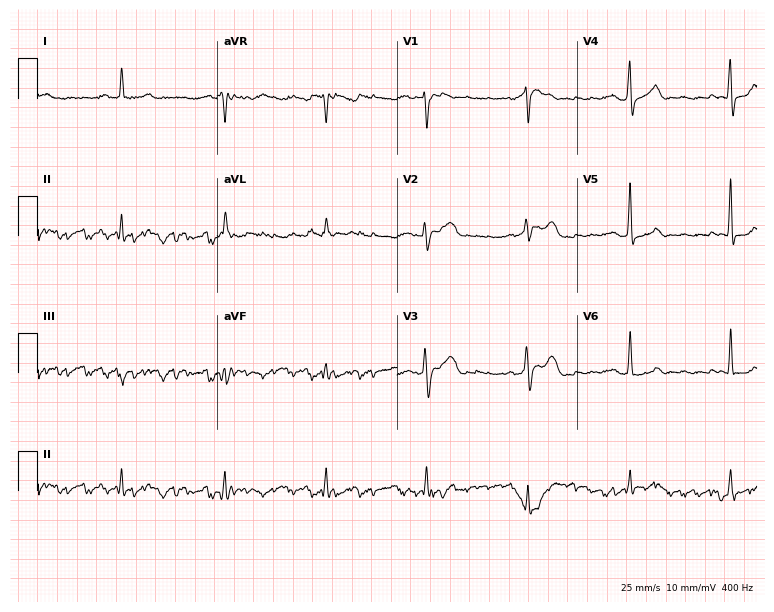
Electrocardiogram, a 74-year-old man. Of the six screened findings (first-degree AV block, right bundle branch block, left bundle branch block, sinus bradycardia, atrial fibrillation, sinus tachycardia), none is recorded. Other findings, if any, are not listed.